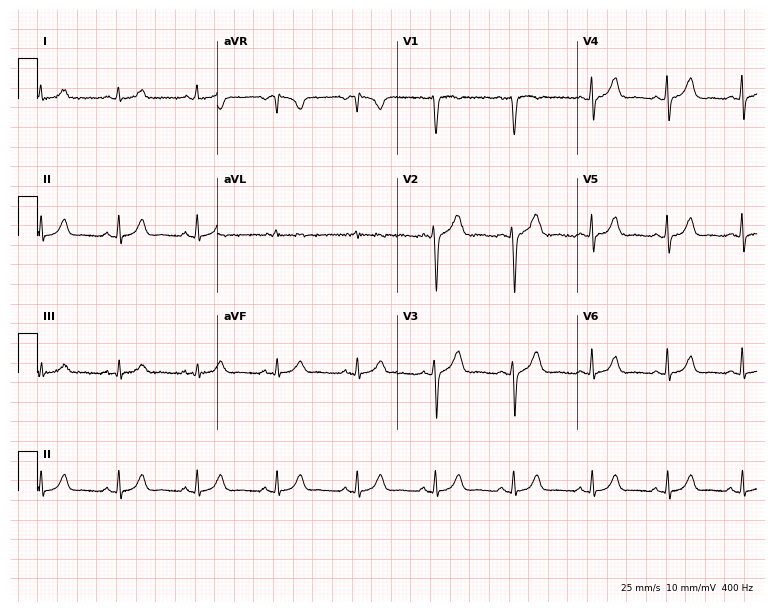
12-lead ECG from a 30-year-old woman. Screened for six findings — first-degree AV block, right bundle branch block, left bundle branch block, sinus bradycardia, atrial fibrillation, sinus tachycardia — none is recorded.